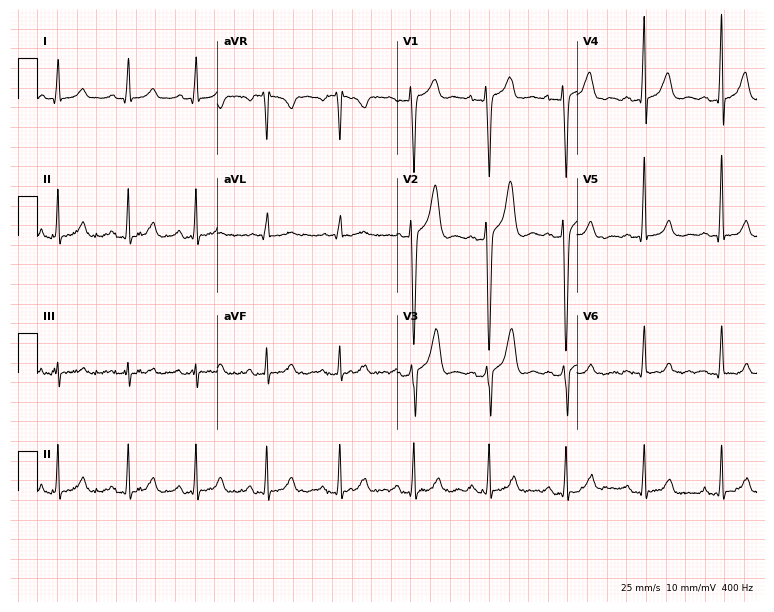
ECG — a man, 32 years old. Screened for six findings — first-degree AV block, right bundle branch block (RBBB), left bundle branch block (LBBB), sinus bradycardia, atrial fibrillation (AF), sinus tachycardia — none is recorded. Only these six findings were labelled.